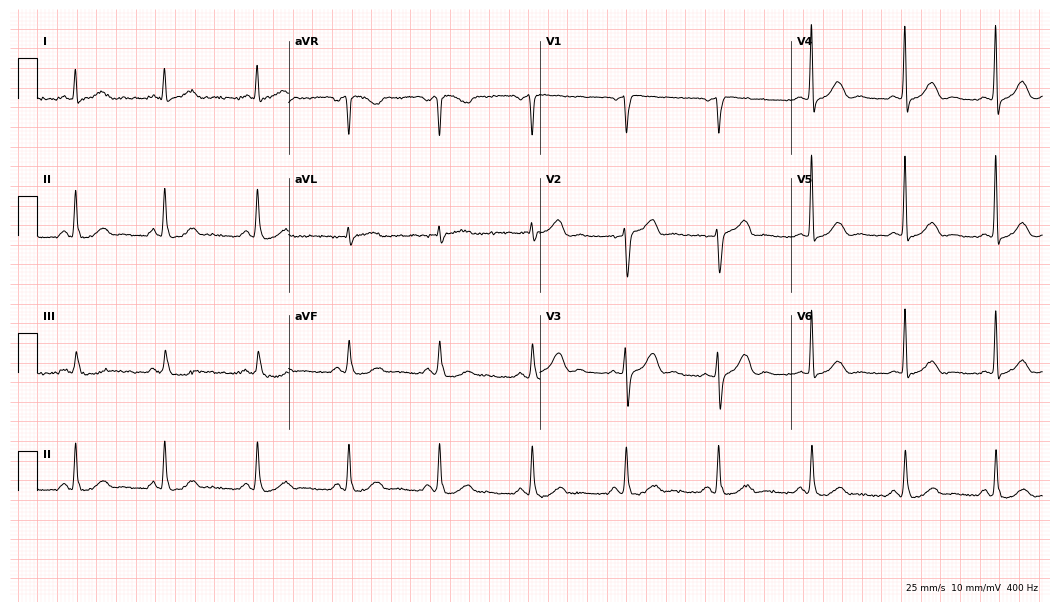
Resting 12-lead electrocardiogram. Patient: a male, 71 years old. None of these six findings is recorded: first-degree AV block, right bundle branch block, left bundle branch block, sinus bradycardia, atrial fibrillation, sinus tachycardia.